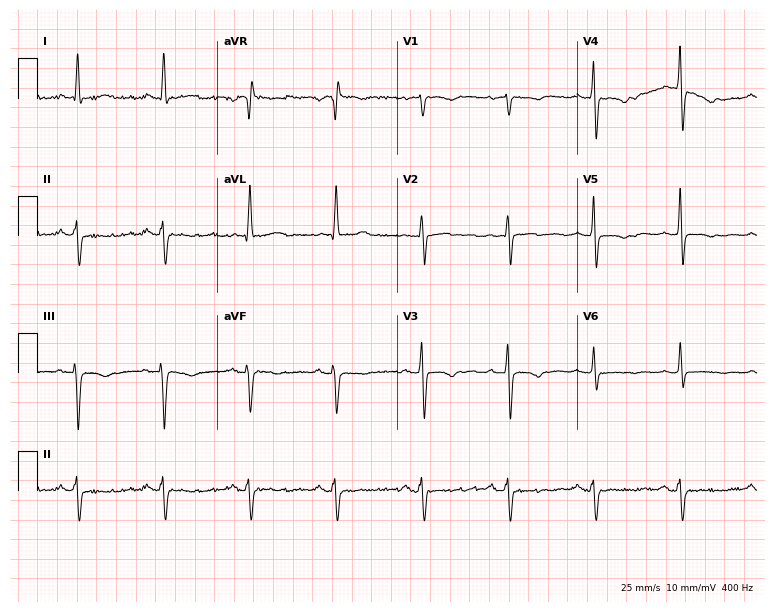
Electrocardiogram (7.3-second recording at 400 Hz), a woman, 69 years old. Of the six screened findings (first-degree AV block, right bundle branch block, left bundle branch block, sinus bradycardia, atrial fibrillation, sinus tachycardia), none is recorded. Findings outside these six are not listed.